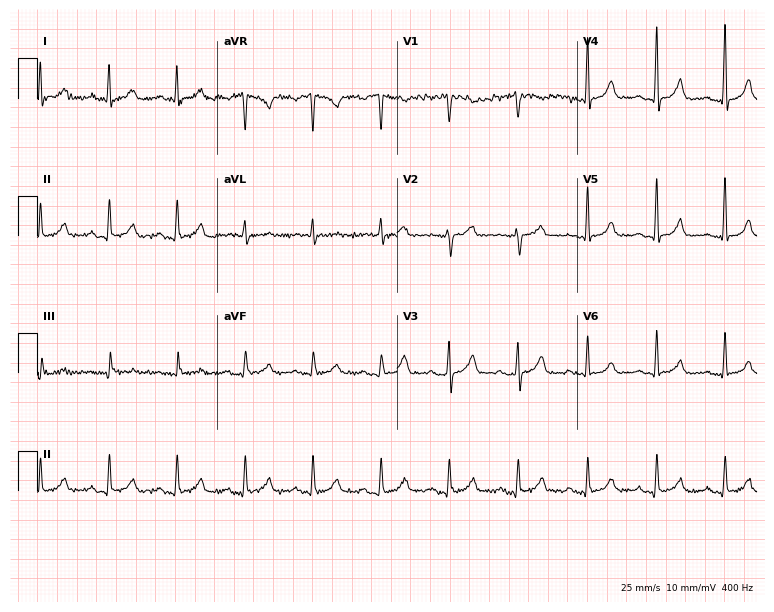
12-lead ECG from a female, 63 years old. Screened for six findings — first-degree AV block, right bundle branch block, left bundle branch block, sinus bradycardia, atrial fibrillation, sinus tachycardia — none is recorded.